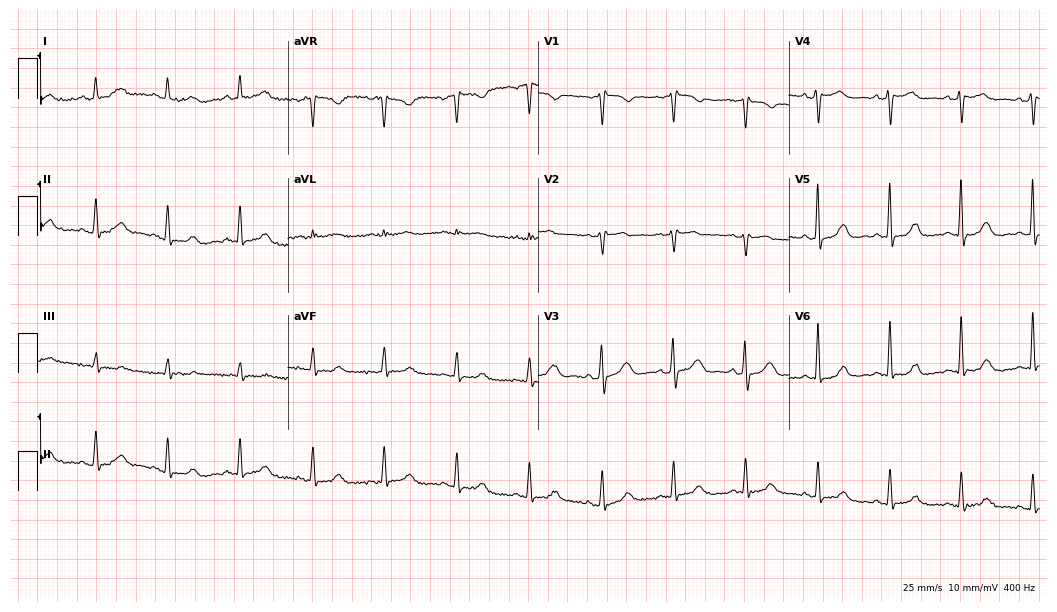
Electrocardiogram (10.2-second recording at 400 Hz), a 64-year-old female patient. Of the six screened findings (first-degree AV block, right bundle branch block, left bundle branch block, sinus bradycardia, atrial fibrillation, sinus tachycardia), none is recorded. Other findings, if any, are not listed.